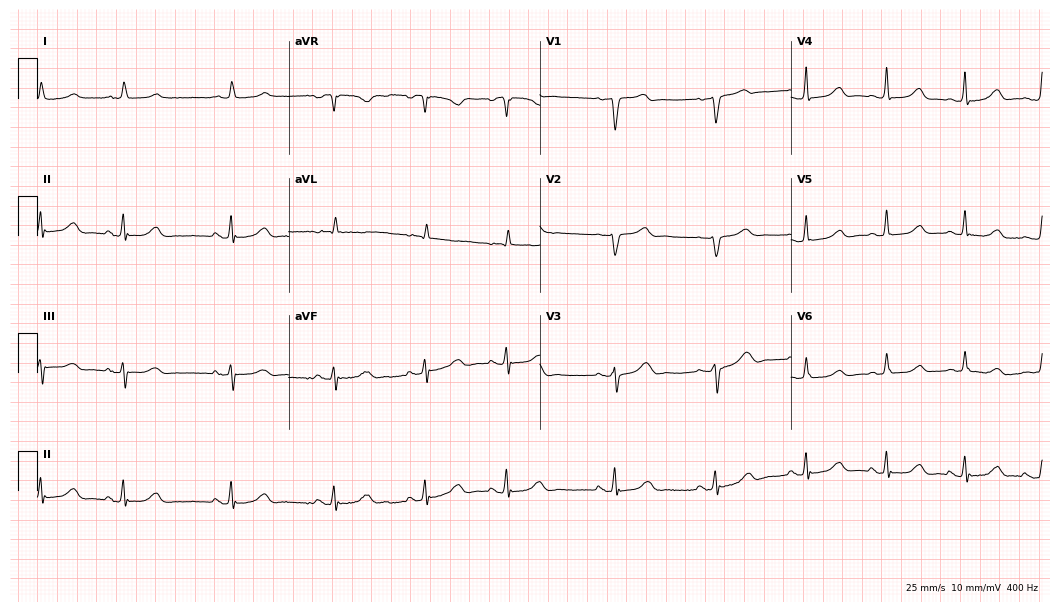
Standard 12-lead ECG recorded from a woman, 80 years old (10.2-second recording at 400 Hz). Read as a normal ECG.